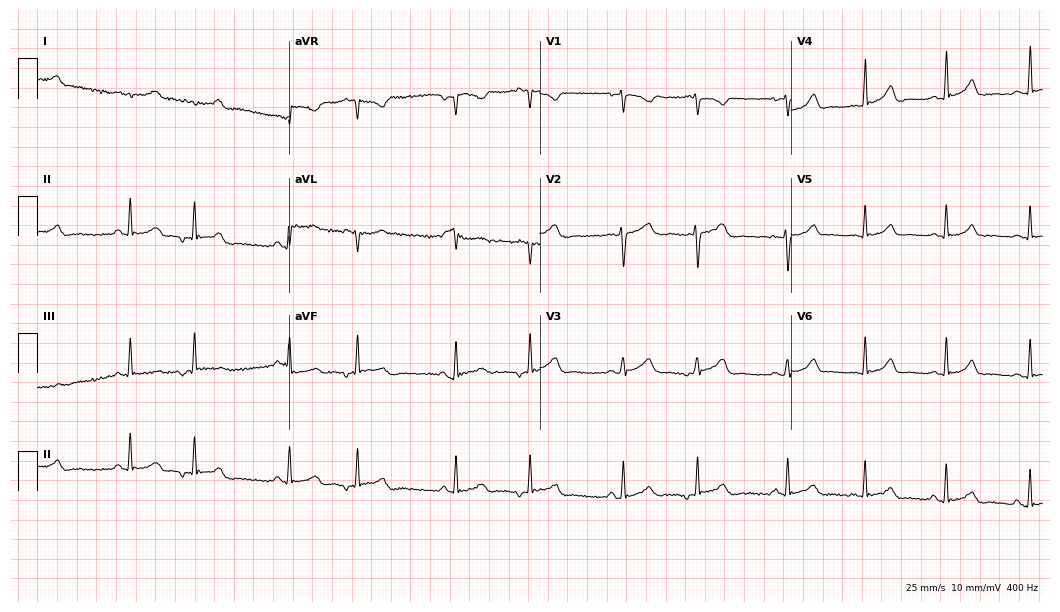
Resting 12-lead electrocardiogram. Patient: a female, 18 years old. None of these six findings is recorded: first-degree AV block, right bundle branch block, left bundle branch block, sinus bradycardia, atrial fibrillation, sinus tachycardia. Findings outside these six are not listed.